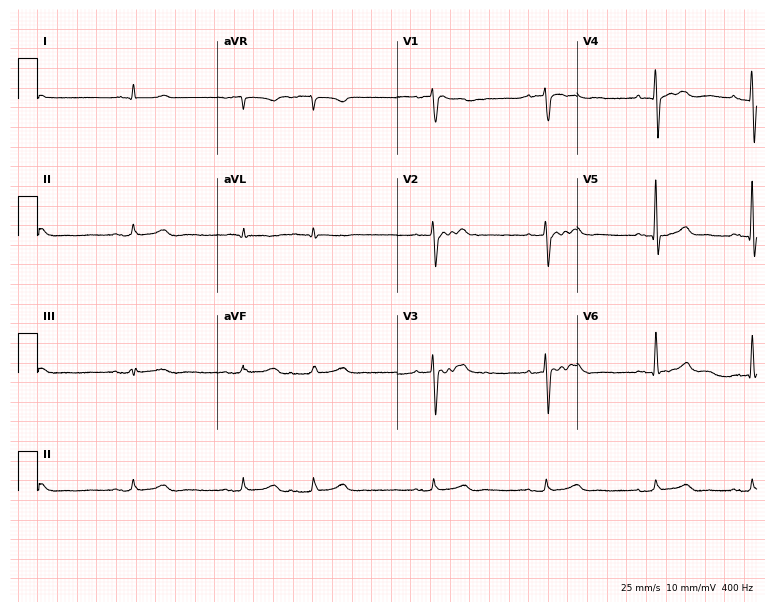
ECG — an 82-year-old man. Findings include atrial fibrillation (AF).